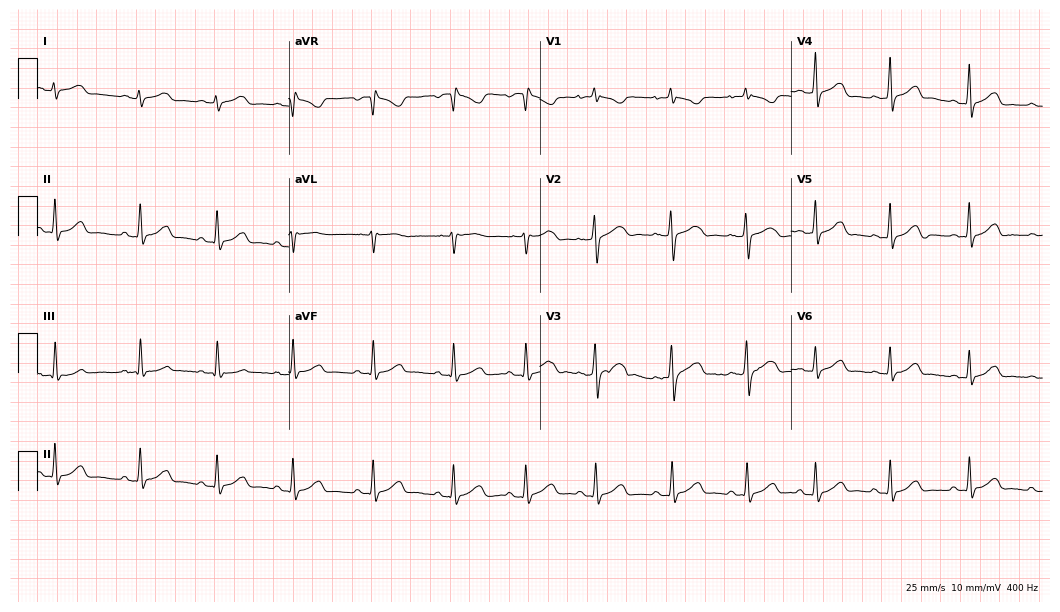
Electrocardiogram (10.2-second recording at 400 Hz), a 20-year-old female patient. Overall reading on record: normal ECG.